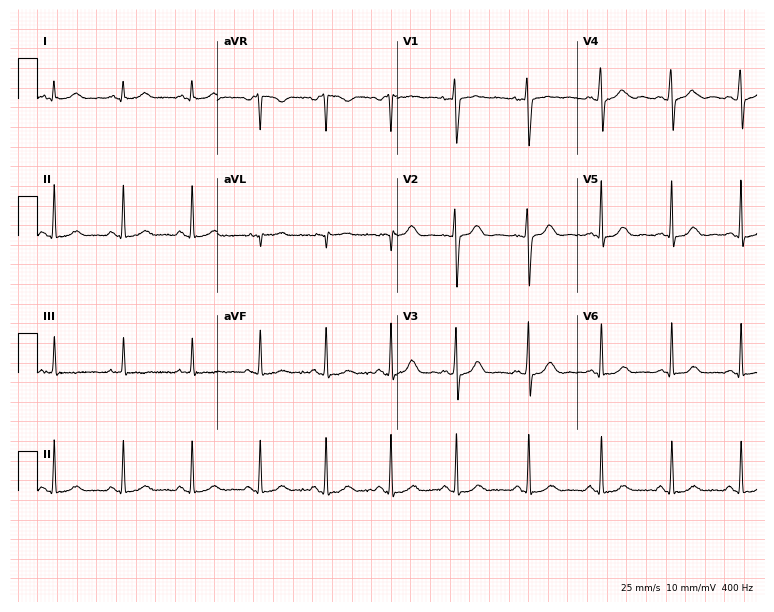
Resting 12-lead electrocardiogram (7.3-second recording at 400 Hz). Patient: a female, 38 years old. Read as a normal ECG.